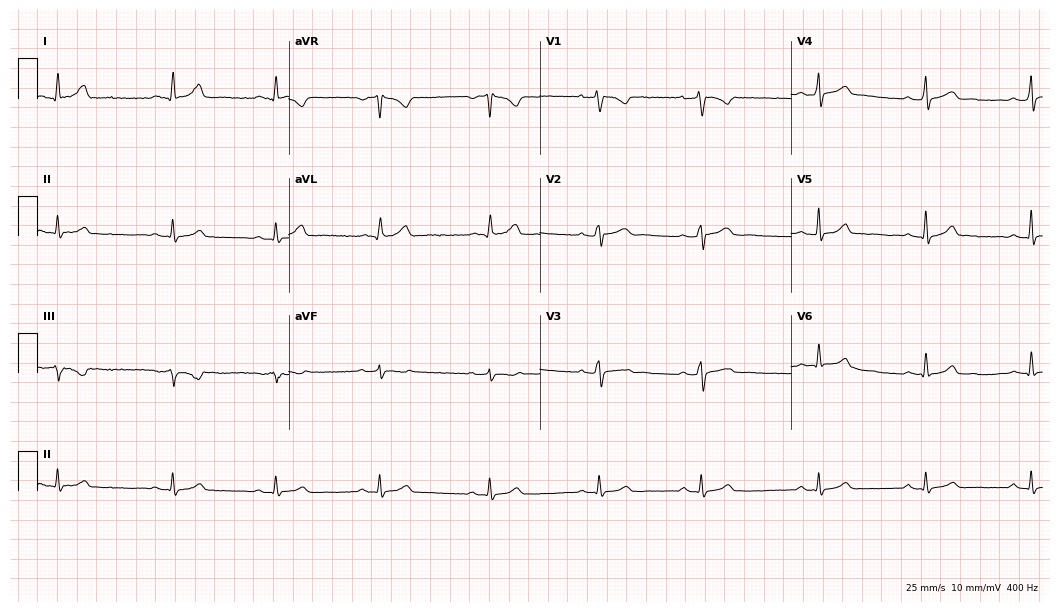
Electrocardiogram (10.2-second recording at 400 Hz), a 28-year-old female patient. Of the six screened findings (first-degree AV block, right bundle branch block (RBBB), left bundle branch block (LBBB), sinus bradycardia, atrial fibrillation (AF), sinus tachycardia), none is recorded.